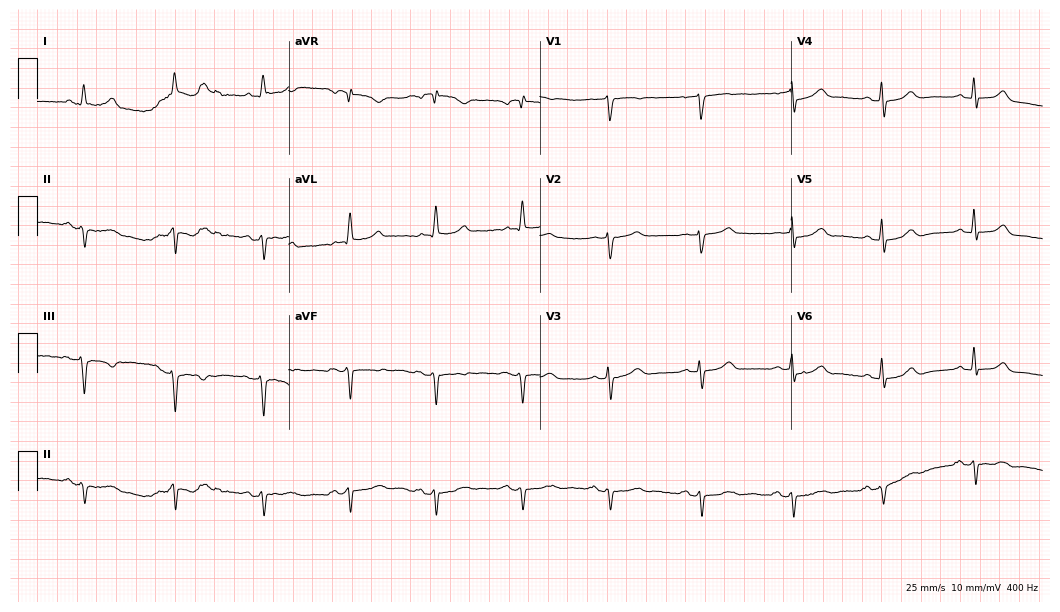
ECG (10.2-second recording at 400 Hz) — an 84-year-old man. Screened for six findings — first-degree AV block, right bundle branch block (RBBB), left bundle branch block (LBBB), sinus bradycardia, atrial fibrillation (AF), sinus tachycardia — none is recorded. Findings outside these six are not listed.